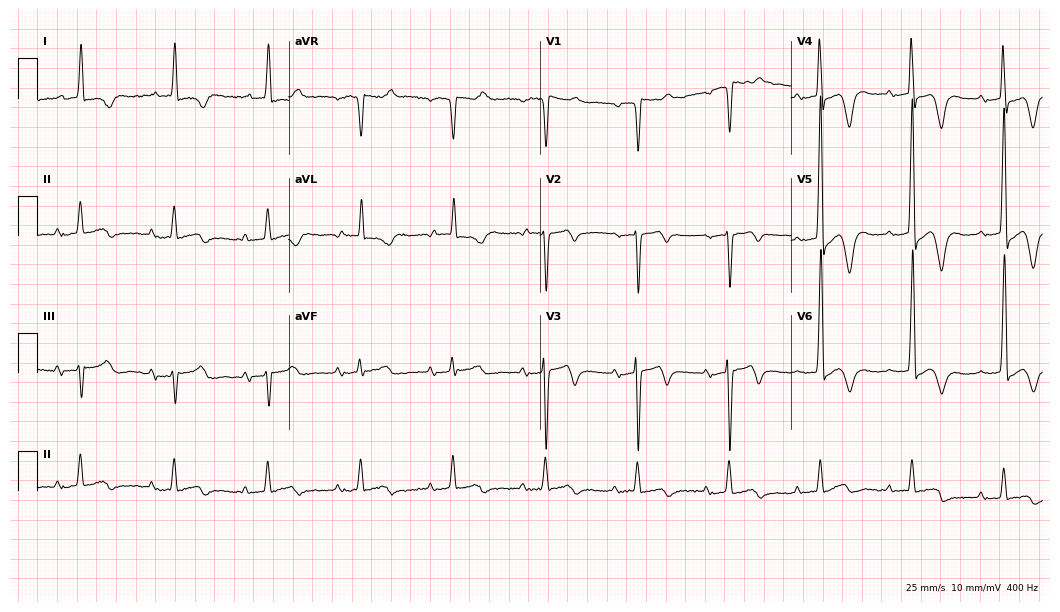
ECG — a male, 77 years old. Findings include first-degree AV block.